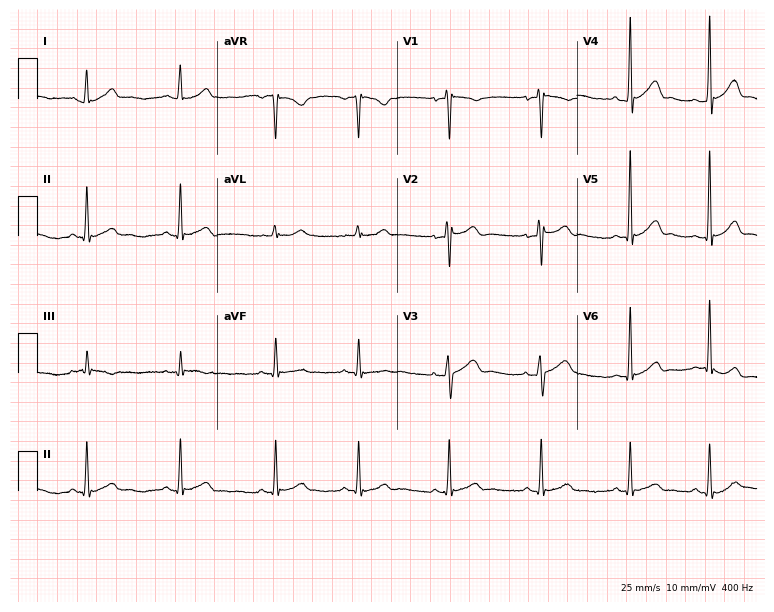
ECG — a 21-year-old female. Labelled as a normal ECG.